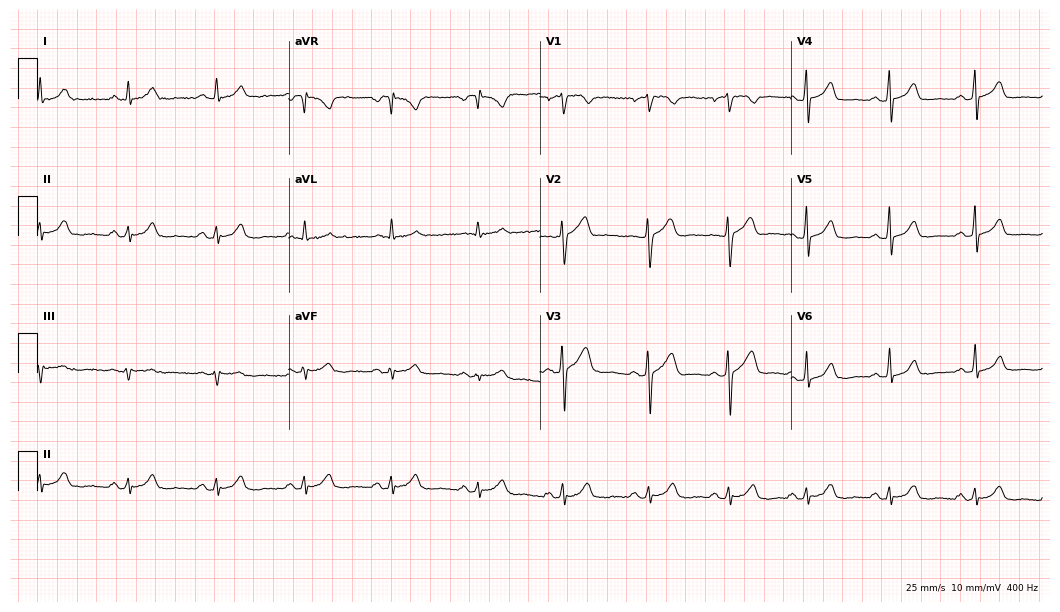
Electrocardiogram (10.2-second recording at 400 Hz), a 37-year-old male patient. Overall reading on record: normal ECG.